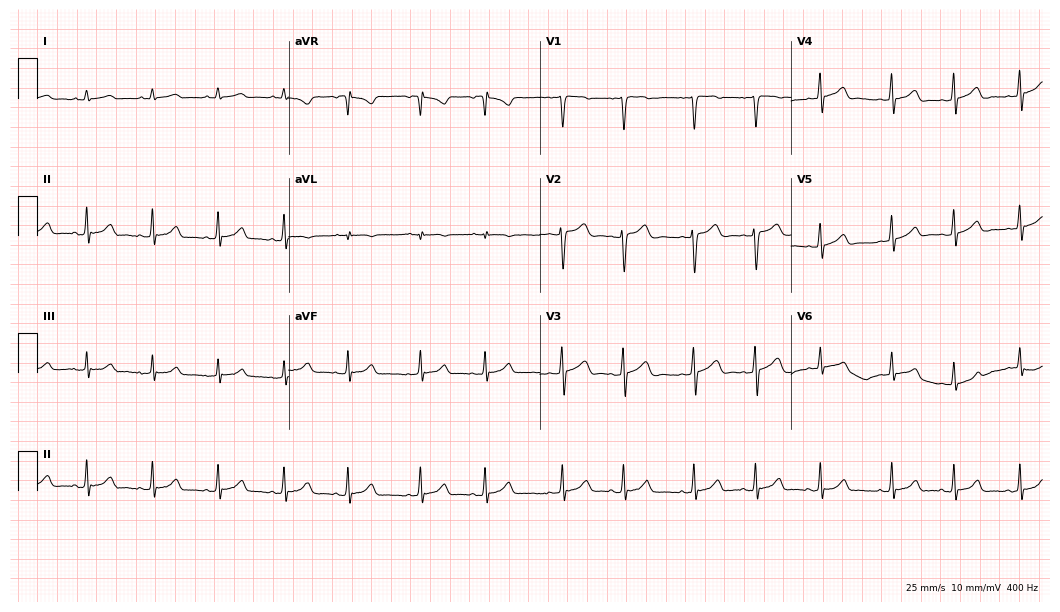
Electrocardiogram, a woman, 19 years old. Overall reading on record: normal ECG.